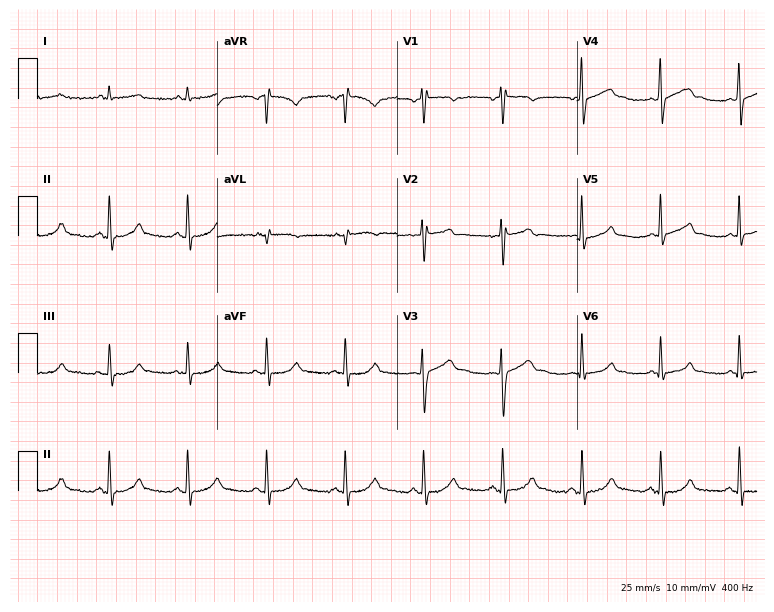
12-lead ECG from a male, 39 years old. Screened for six findings — first-degree AV block, right bundle branch block (RBBB), left bundle branch block (LBBB), sinus bradycardia, atrial fibrillation (AF), sinus tachycardia — none is recorded. Other findings, if any, are not listed.